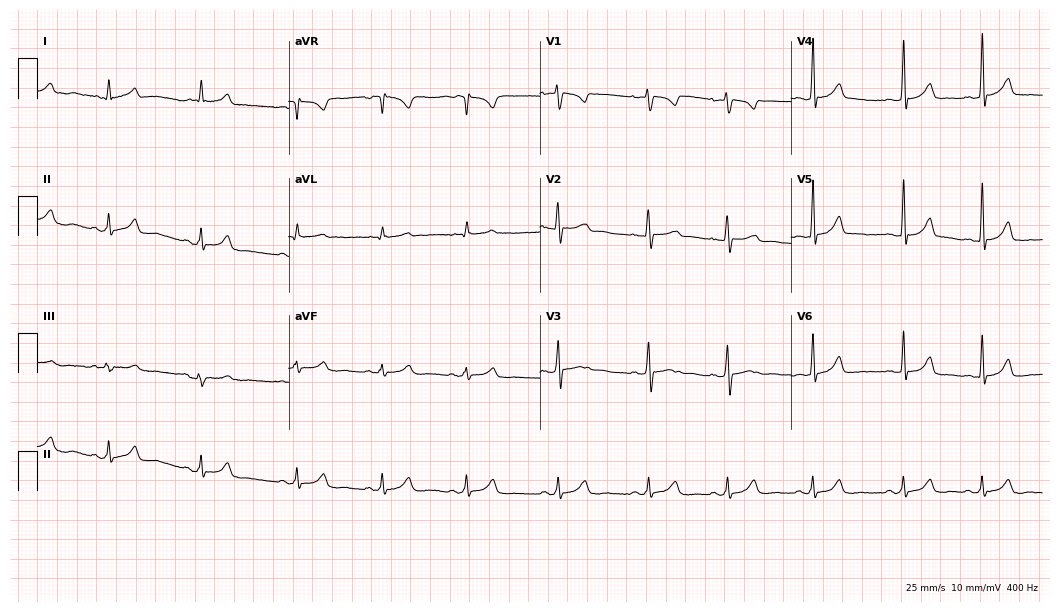
12-lead ECG from a 23-year-old female patient. Labelled as a normal ECG.